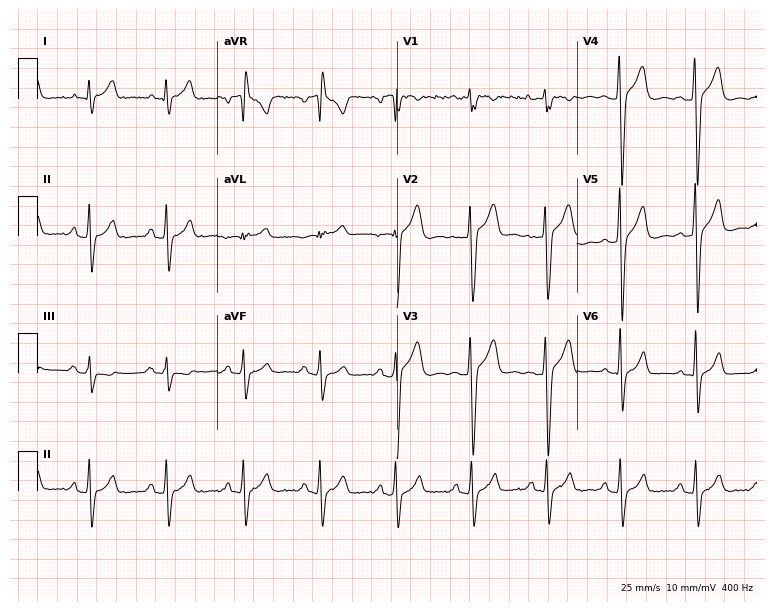
Electrocardiogram (7.3-second recording at 400 Hz), a 23-year-old man. Of the six screened findings (first-degree AV block, right bundle branch block, left bundle branch block, sinus bradycardia, atrial fibrillation, sinus tachycardia), none is recorded.